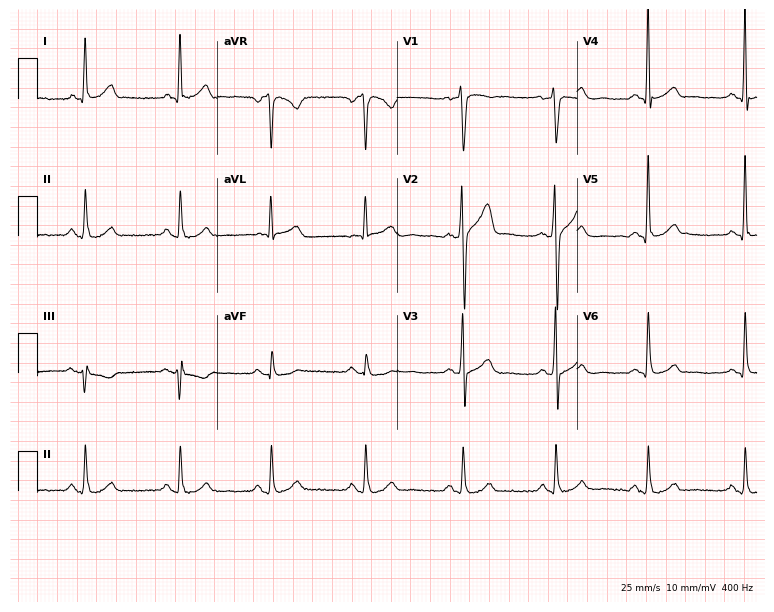
12-lead ECG (7.3-second recording at 400 Hz) from a 52-year-old male. Labelled as a normal ECG.